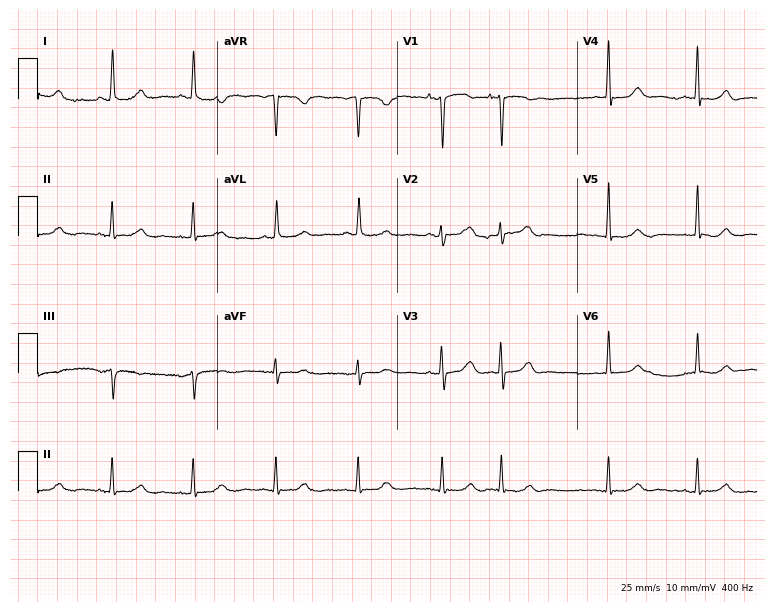
12-lead ECG from a 49-year-old female patient. No first-degree AV block, right bundle branch block, left bundle branch block, sinus bradycardia, atrial fibrillation or sinus tachycardia recorded for this tracing. Findings outside these six are not listed.